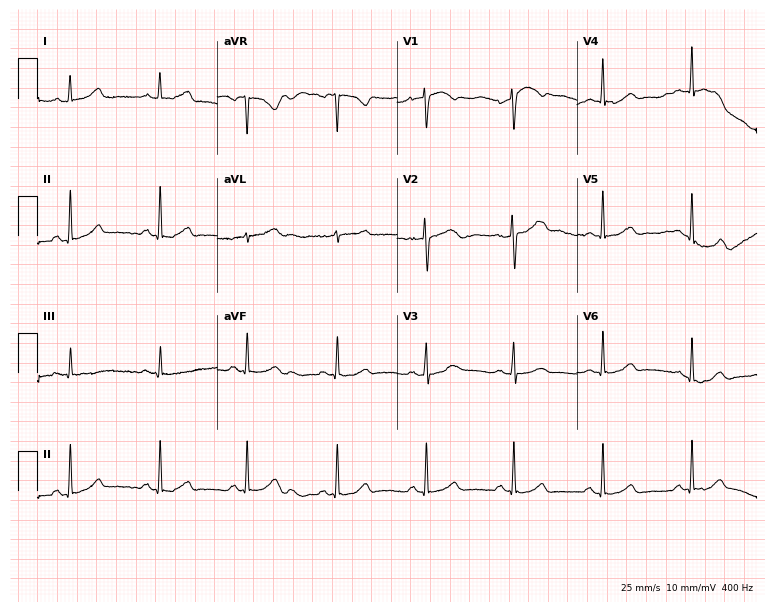
ECG (7.3-second recording at 400 Hz) — a 44-year-old female. Labelled as a normal ECG.